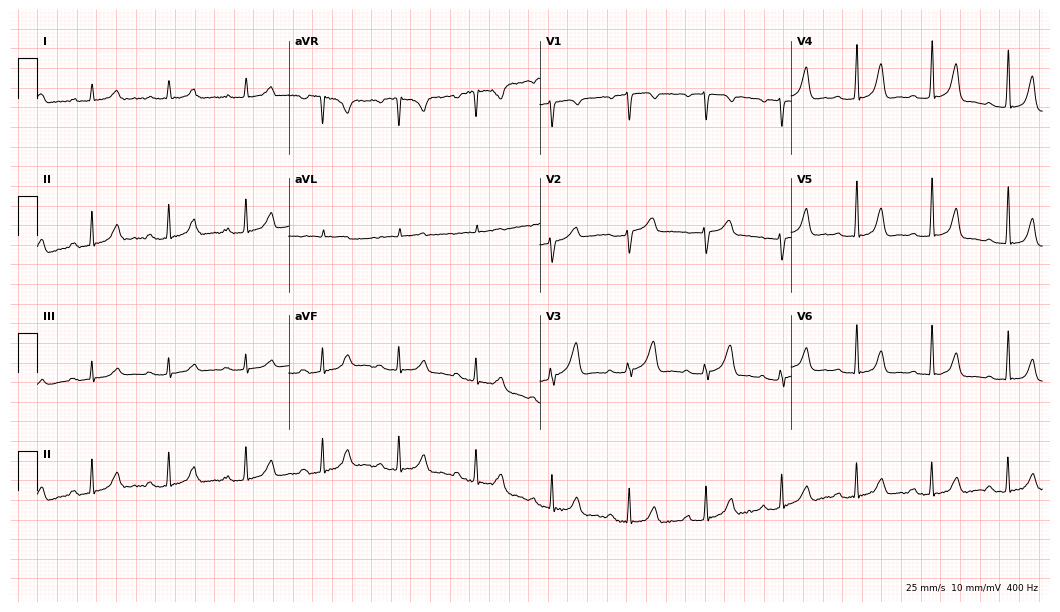
Standard 12-lead ECG recorded from a woman, 67 years old (10.2-second recording at 400 Hz). None of these six findings is recorded: first-degree AV block, right bundle branch block, left bundle branch block, sinus bradycardia, atrial fibrillation, sinus tachycardia.